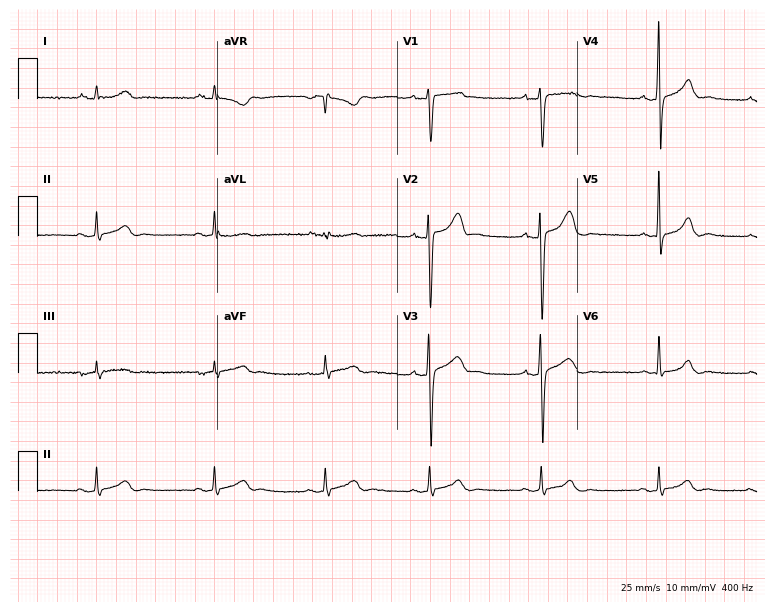
Electrocardiogram (7.3-second recording at 400 Hz), a 28-year-old male patient. Overall reading on record: normal ECG.